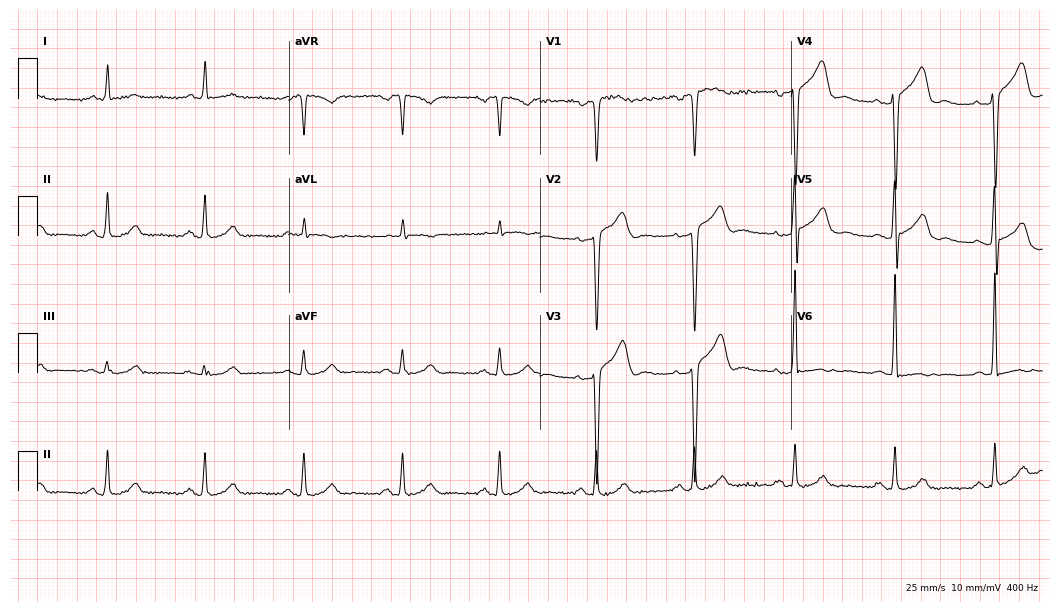
12-lead ECG from a man, 43 years old. No first-degree AV block, right bundle branch block, left bundle branch block, sinus bradycardia, atrial fibrillation or sinus tachycardia recorded for this tracing. Only these six findings were labelled.